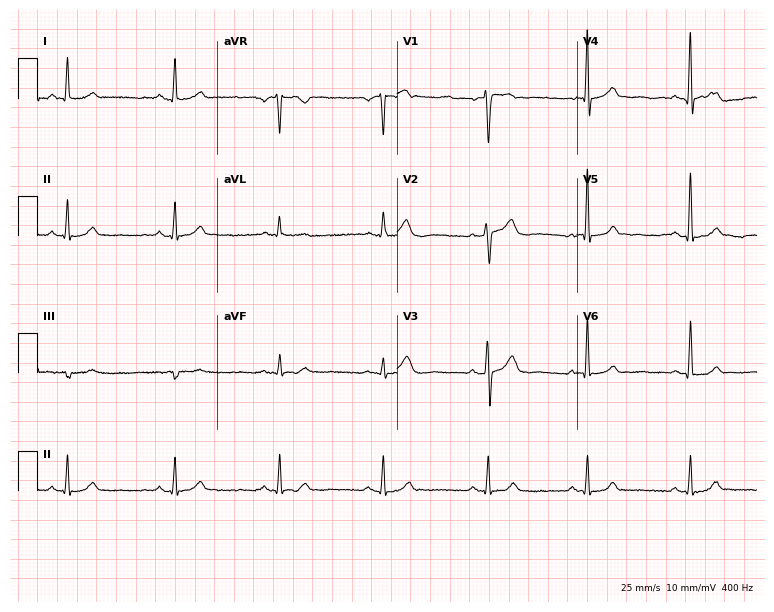
ECG — a man, 54 years old. Screened for six findings — first-degree AV block, right bundle branch block, left bundle branch block, sinus bradycardia, atrial fibrillation, sinus tachycardia — none is recorded.